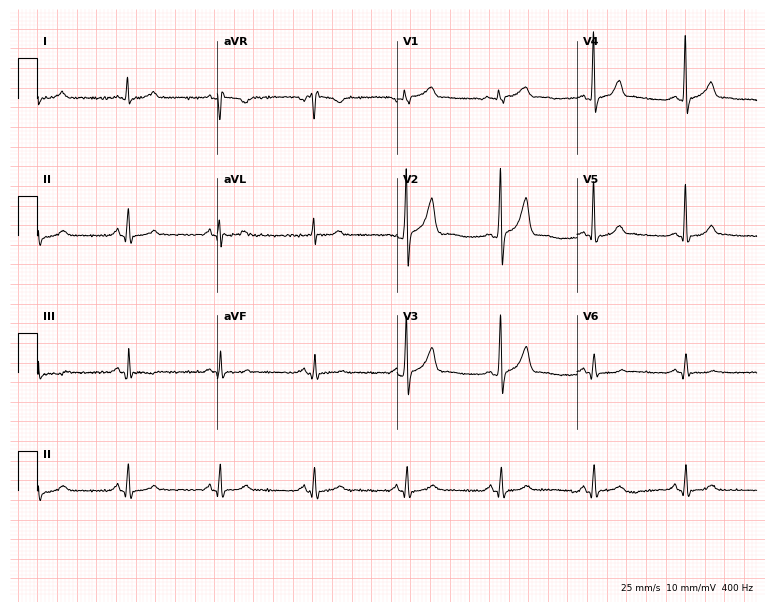
ECG — a male patient, 65 years old. Screened for six findings — first-degree AV block, right bundle branch block, left bundle branch block, sinus bradycardia, atrial fibrillation, sinus tachycardia — none is recorded. Other findings, if any, are not listed.